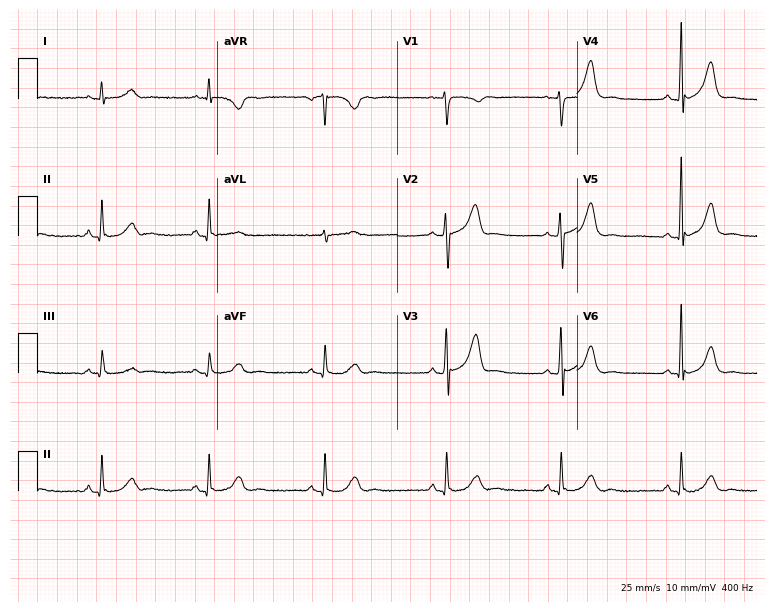
12-lead ECG from a 51-year-old man (7.3-second recording at 400 Hz). Shows first-degree AV block, sinus bradycardia (a sinus rate of 50 beats per minute or less).